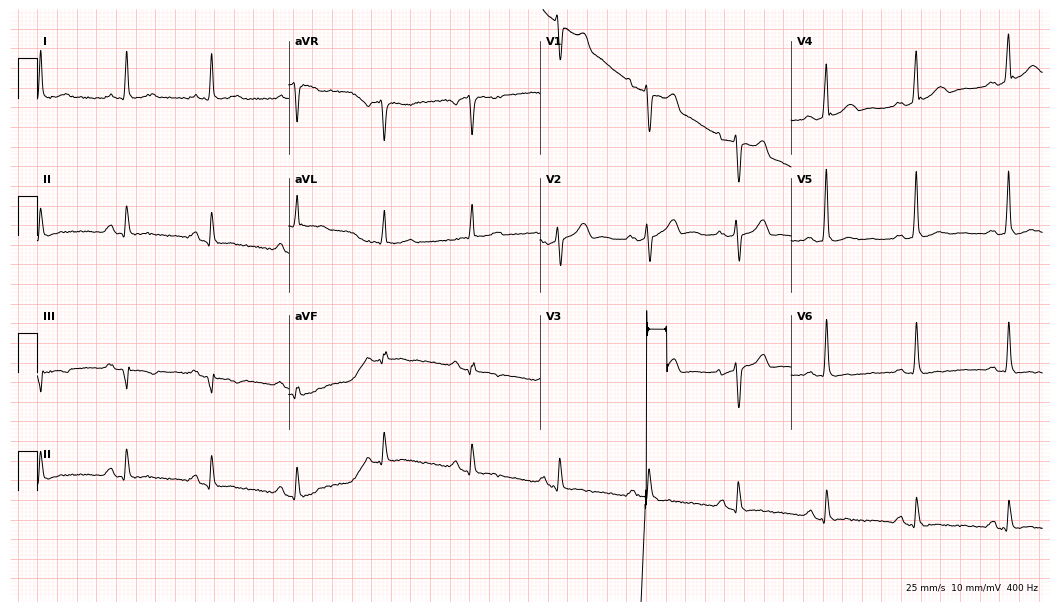
Electrocardiogram (10.2-second recording at 400 Hz), a 71-year-old male. Of the six screened findings (first-degree AV block, right bundle branch block, left bundle branch block, sinus bradycardia, atrial fibrillation, sinus tachycardia), none is recorded.